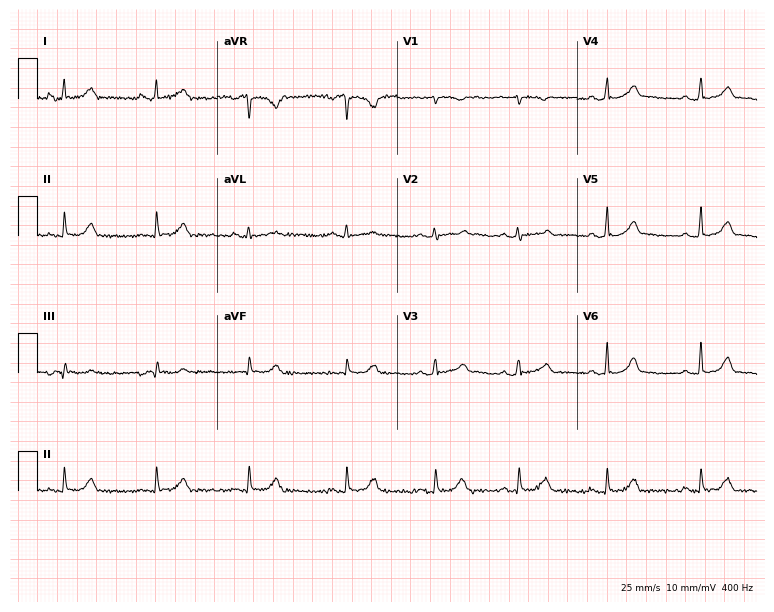
Electrocardiogram (7.3-second recording at 400 Hz), a 26-year-old woman. Overall reading on record: normal ECG.